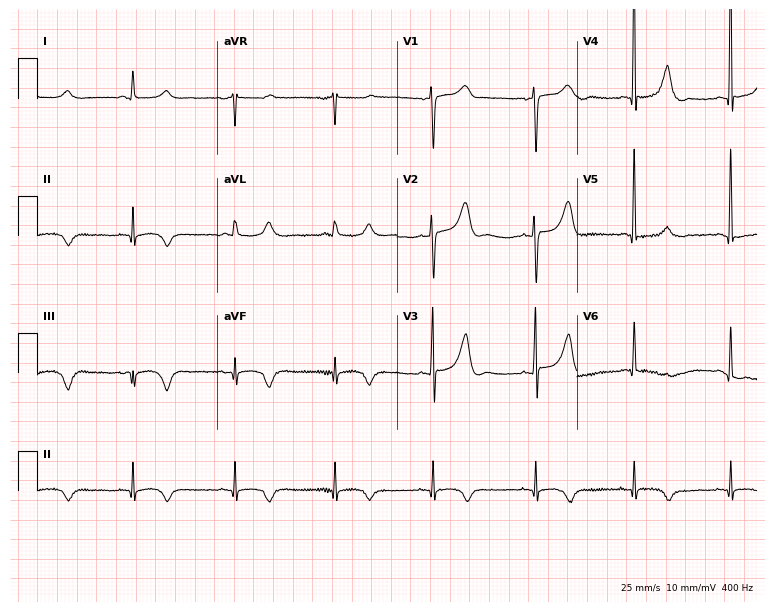
Resting 12-lead electrocardiogram. Patient: a female, 75 years old. None of these six findings is recorded: first-degree AV block, right bundle branch block (RBBB), left bundle branch block (LBBB), sinus bradycardia, atrial fibrillation (AF), sinus tachycardia. Other findings, if any, are not listed.